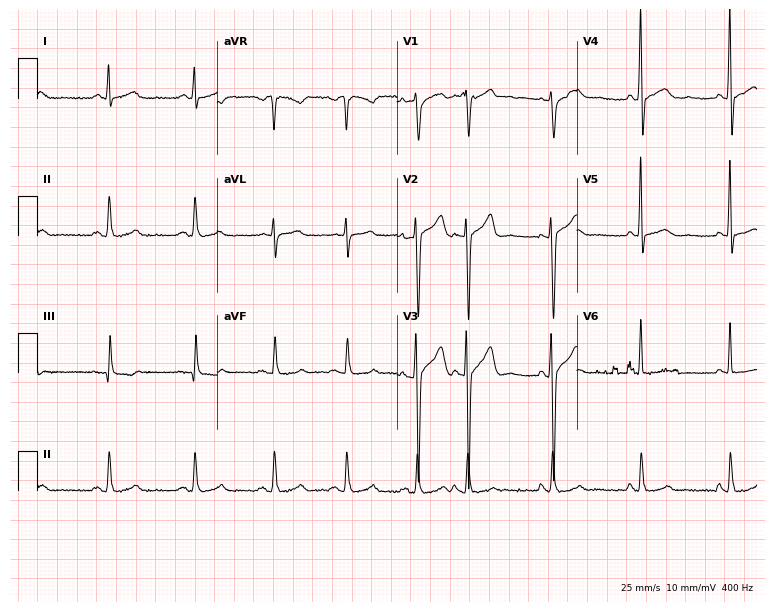
Resting 12-lead electrocardiogram. Patient: a female, 45 years old. None of these six findings is recorded: first-degree AV block, right bundle branch block, left bundle branch block, sinus bradycardia, atrial fibrillation, sinus tachycardia.